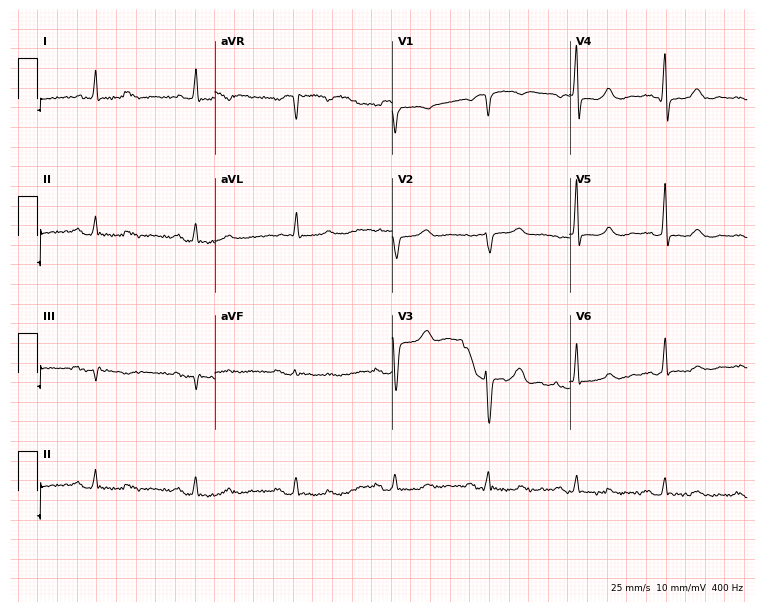
12-lead ECG (7.2-second recording at 400 Hz) from a 62-year-old woman. Screened for six findings — first-degree AV block, right bundle branch block (RBBB), left bundle branch block (LBBB), sinus bradycardia, atrial fibrillation (AF), sinus tachycardia — none is recorded.